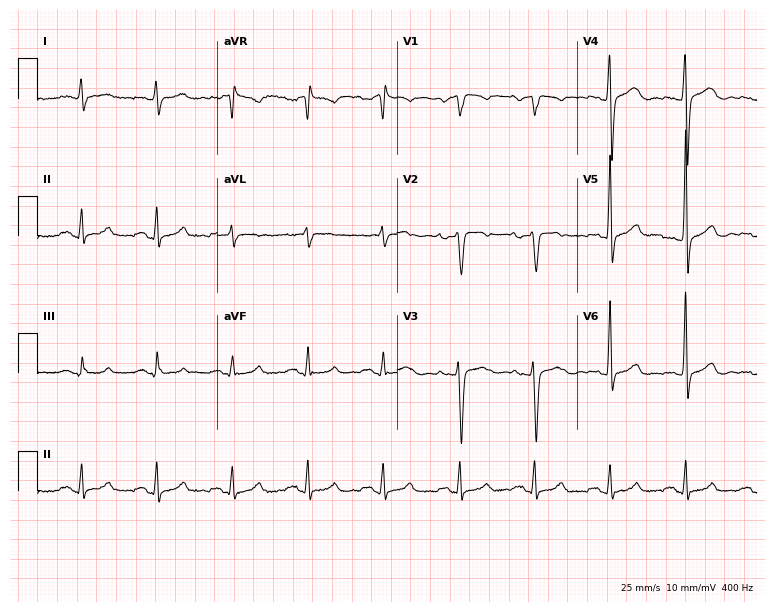
12-lead ECG from a female patient, 39 years old. No first-degree AV block, right bundle branch block (RBBB), left bundle branch block (LBBB), sinus bradycardia, atrial fibrillation (AF) or sinus tachycardia recorded for this tracing. Only these six findings were labelled.